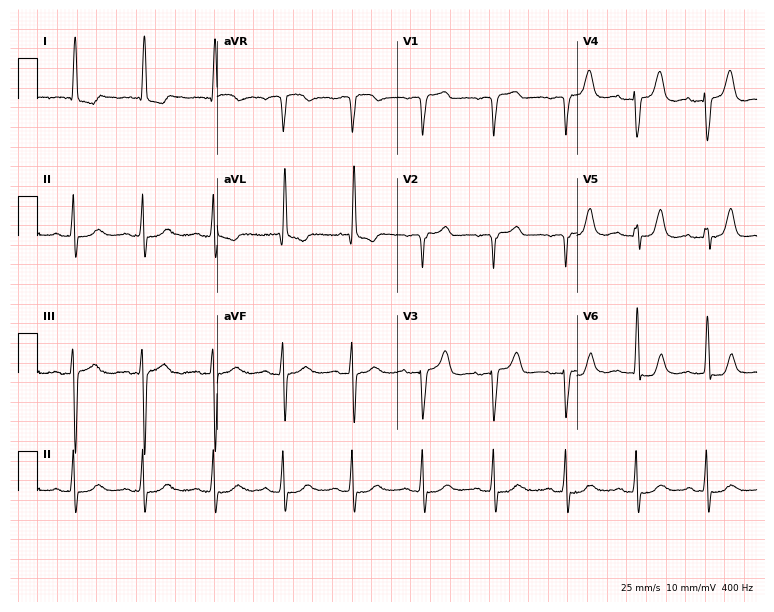
Electrocardiogram, a female, 85 years old. Of the six screened findings (first-degree AV block, right bundle branch block, left bundle branch block, sinus bradycardia, atrial fibrillation, sinus tachycardia), none is recorded. Only these six findings were labelled.